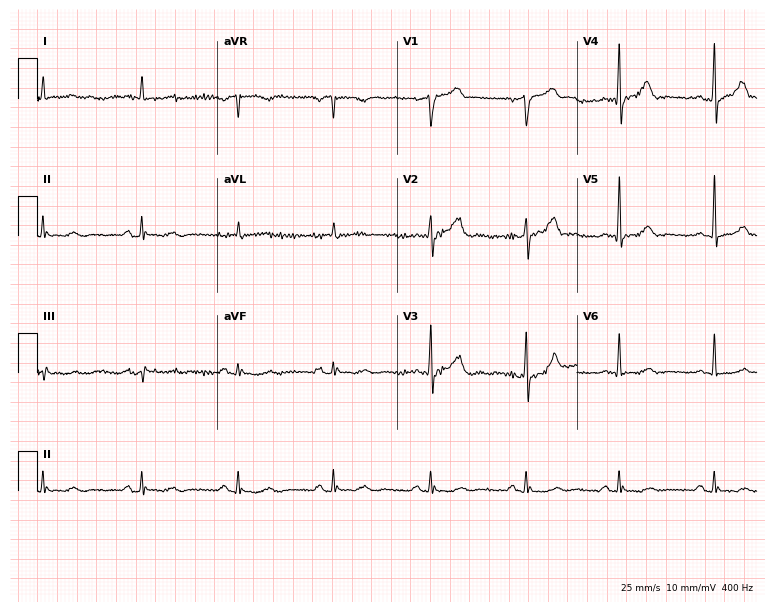
ECG (7.3-second recording at 400 Hz) — a male patient, 63 years old. Labelled as a normal ECG.